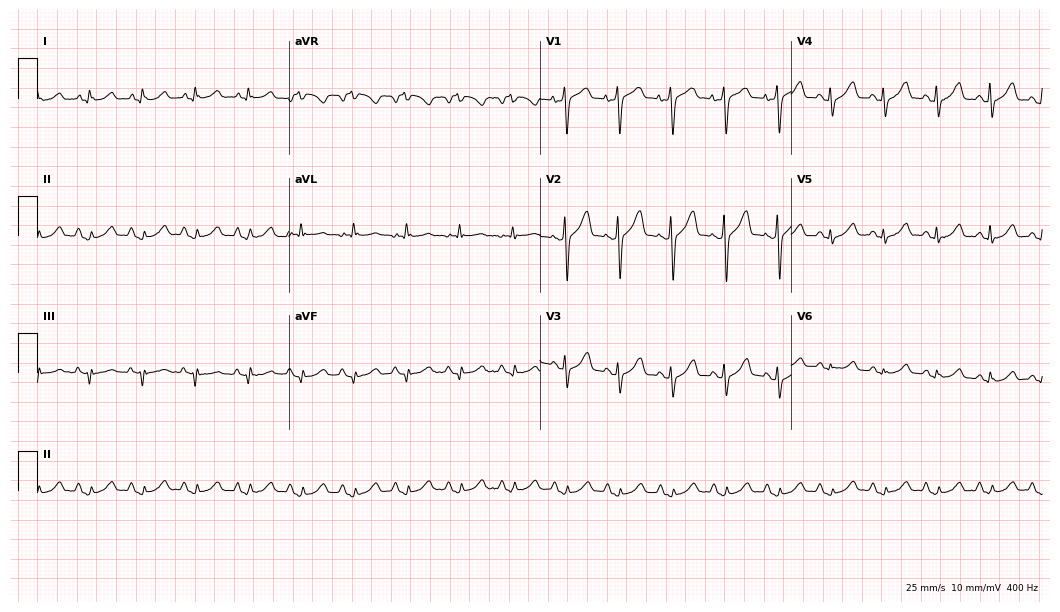
ECG (10.2-second recording at 400 Hz) — an 81-year-old female patient. Findings include sinus tachycardia (a sinus rate of 100 beats per minute or more).